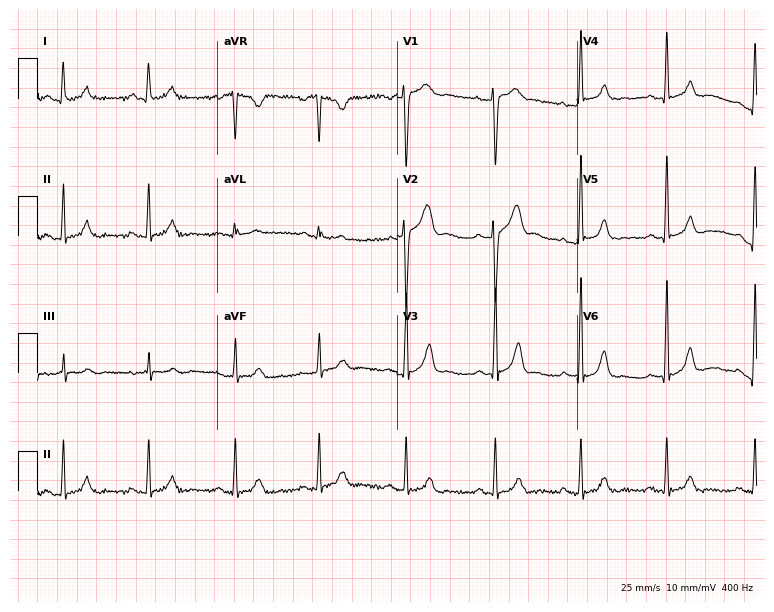
ECG — a 32-year-old female. Labelled as a normal ECG.